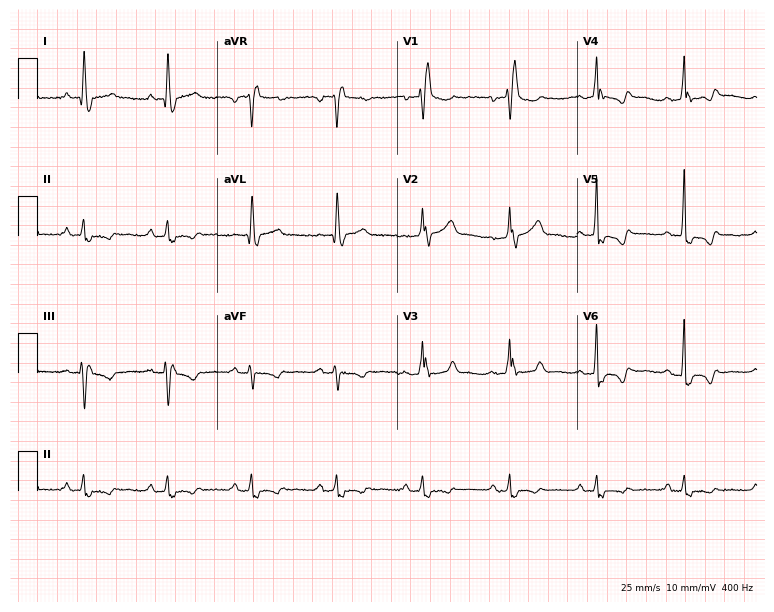
Resting 12-lead electrocardiogram (7.3-second recording at 400 Hz). Patient: a man, 73 years old. None of these six findings is recorded: first-degree AV block, right bundle branch block, left bundle branch block, sinus bradycardia, atrial fibrillation, sinus tachycardia. Findings outside these six are not listed.